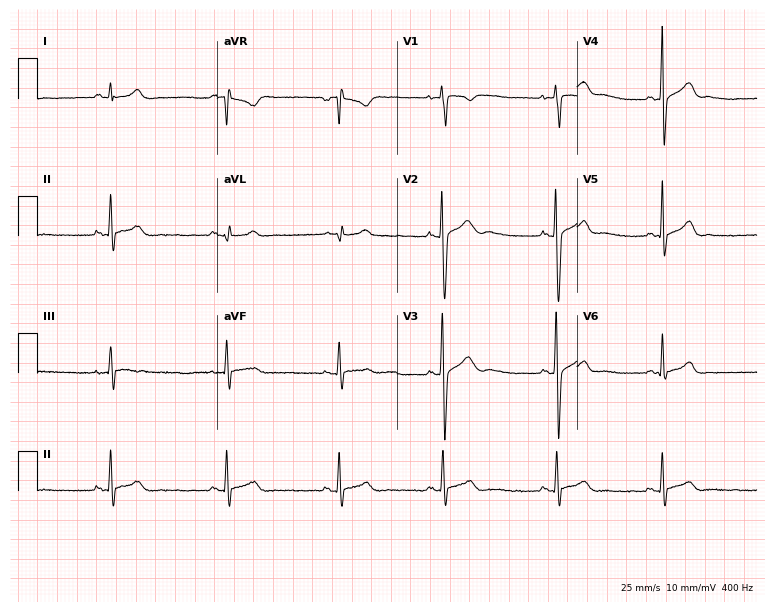
Resting 12-lead electrocardiogram (7.3-second recording at 400 Hz). Patient: a 17-year-old female. Read as a normal ECG.